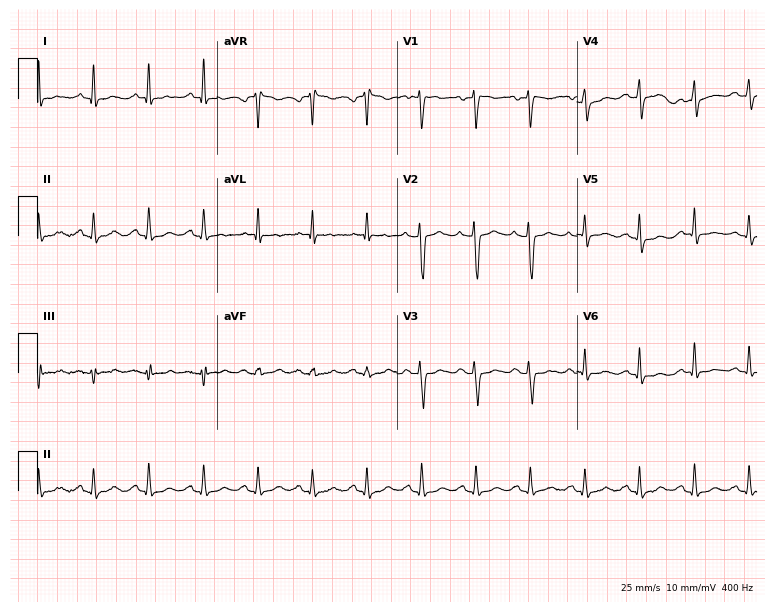
Electrocardiogram (7.3-second recording at 400 Hz), a 38-year-old female patient. Interpretation includes sinus tachycardia (a sinus rate of 100 beats per minute or more).